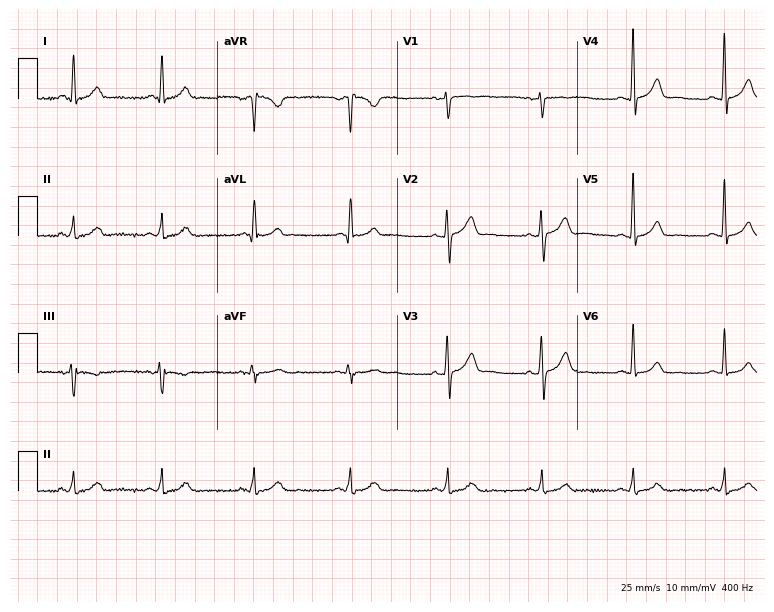
ECG (7.3-second recording at 400 Hz) — a 73-year-old female patient. Labelled as a normal ECG.